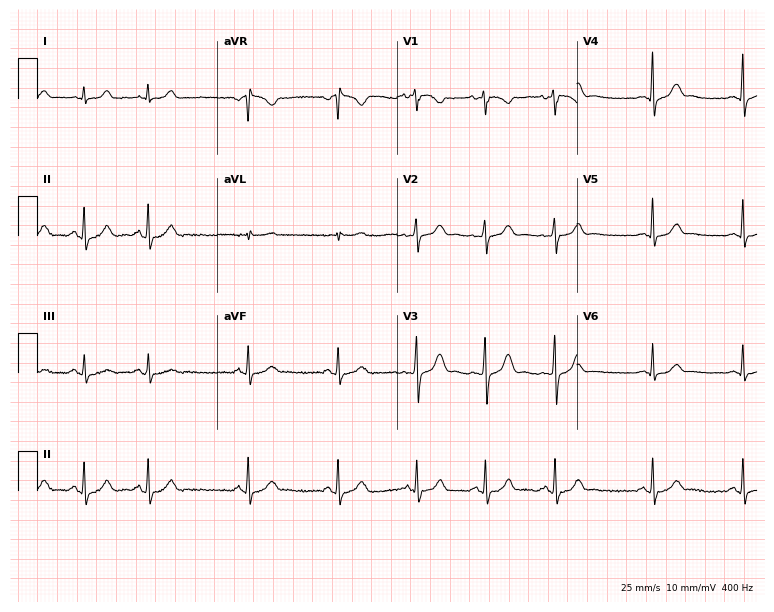
ECG (7.3-second recording at 400 Hz) — a 23-year-old female patient. Labelled as a normal ECG.